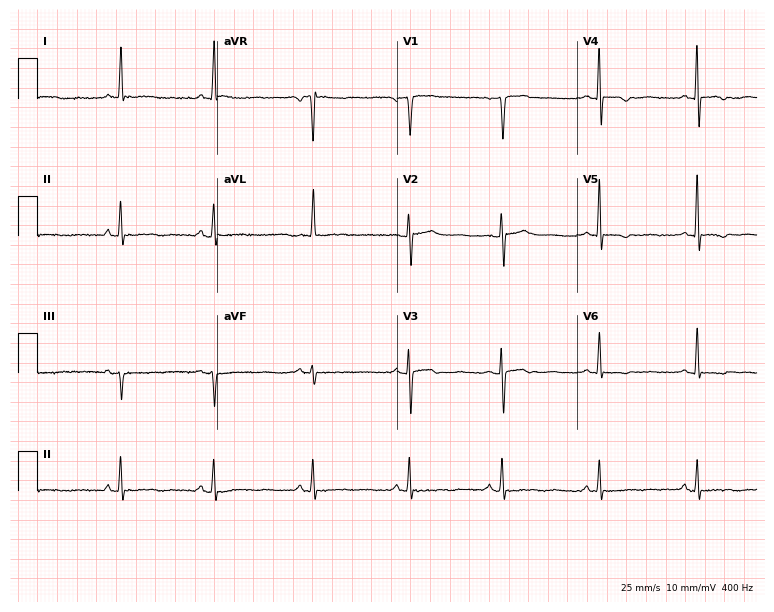
12-lead ECG from a woman, 82 years old (7.3-second recording at 400 Hz). No first-degree AV block, right bundle branch block (RBBB), left bundle branch block (LBBB), sinus bradycardia, atrial fibrillation (AF) or sinus tachycardia recorded for this tracing.